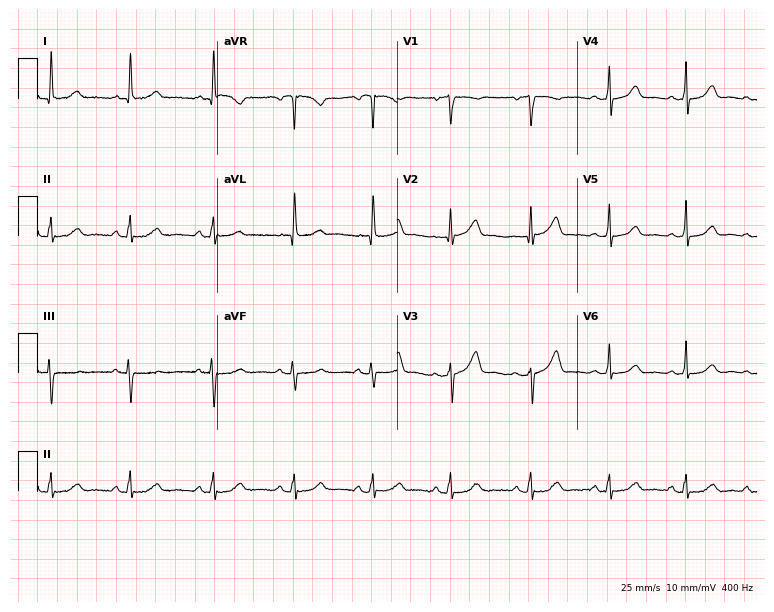
12-lead ECG from a 61-year-old female patient (7.3-second recording at 400 Hz). Recorded interpretation: within normal limits.